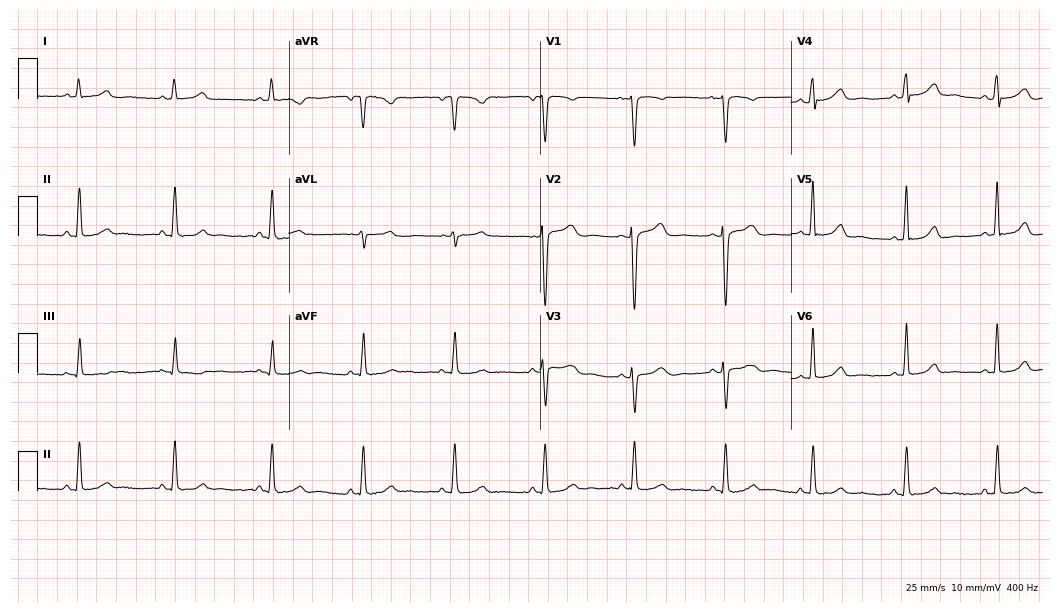
Standard 12-lead ECG recorded from a female patient, 35 years old (10.2-second recording at 400 Hz). Read as a normal ECG.